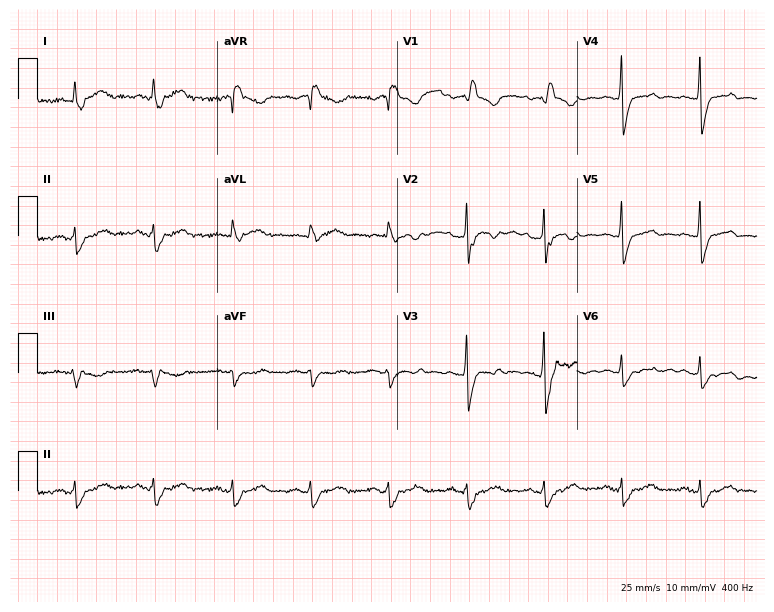
ECG — an 85-year-old female patient. Screened for six findings — first-degree AV block, right bundle branch block, left bundle branch block, sinus bradycardia, atrial fibrillation, sinus tachycardia — none is recorded. Only these six findings were labelled.